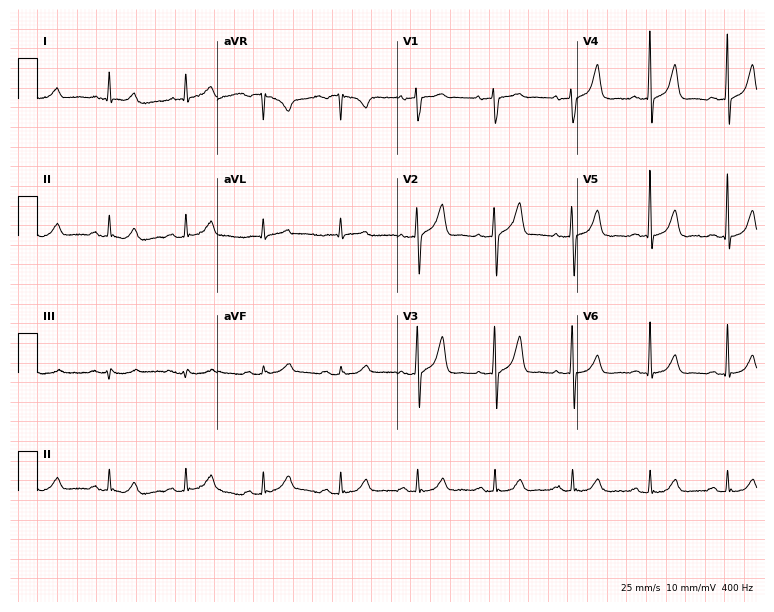
Standard 12-lead ECG recorded from an 82-year-old male patient (7.3-second recording at 400 Hz). Read as a normal ECG.